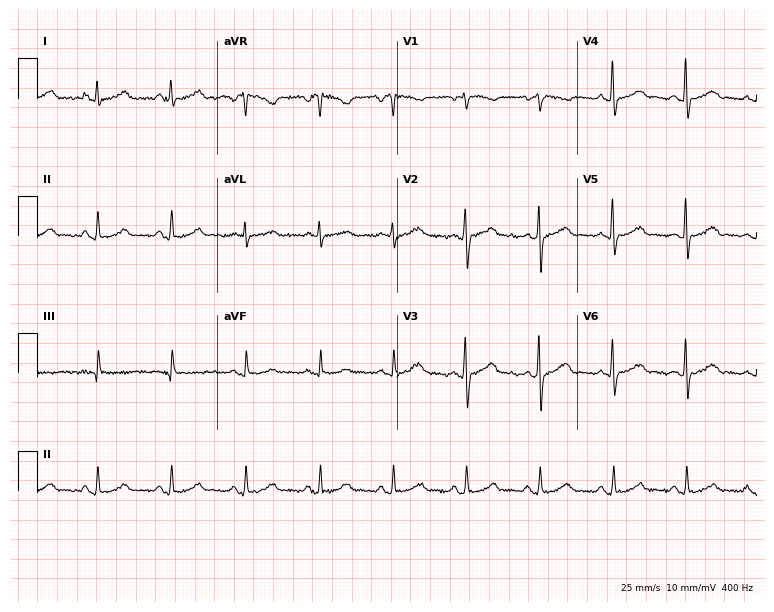
12-lead ECG from a 40-year-old woman. Recorded interpretation: within normal limits.